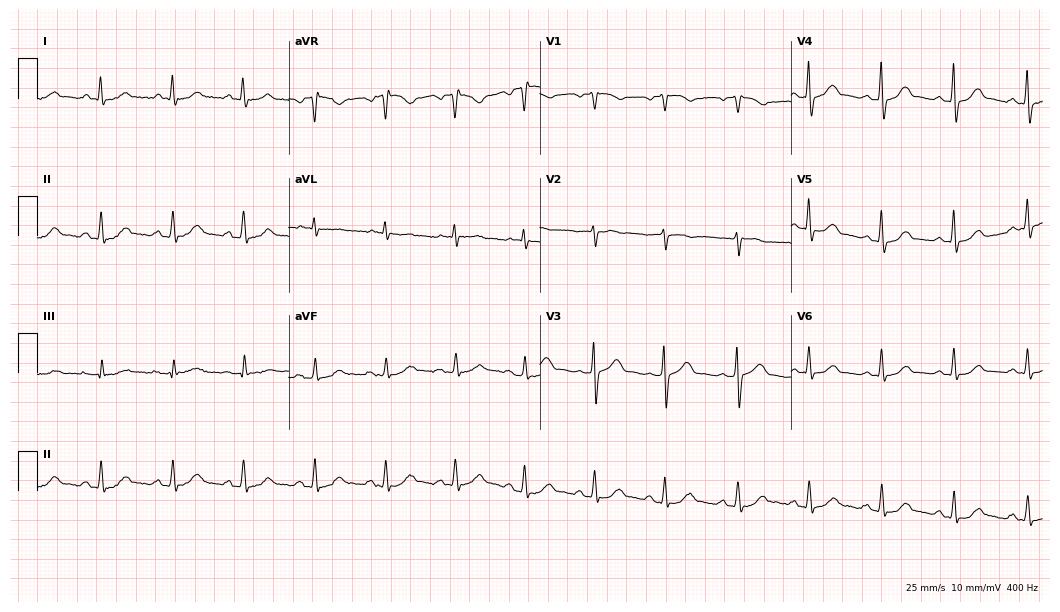
ECG (10.2-second recording at 400 Hz) — a man, 59 years old. Labelled as a normal ECG.